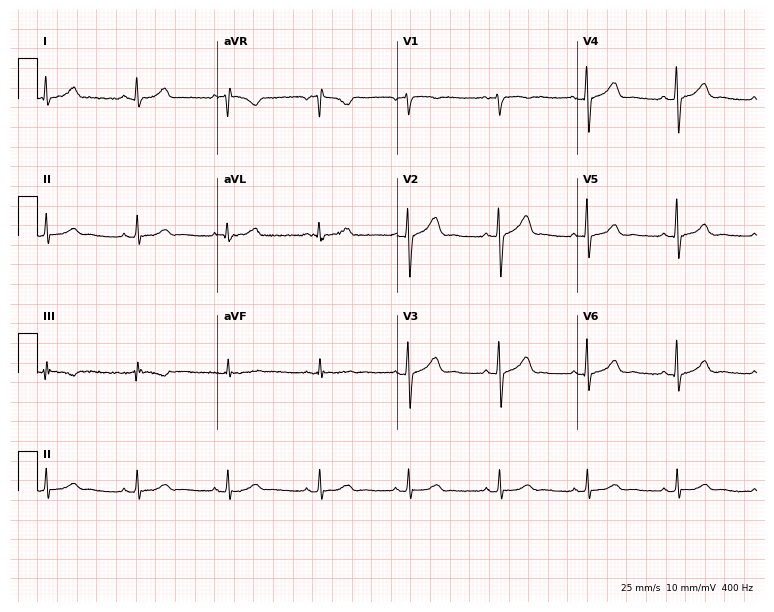
12-lead ECG from a female patient, 35 years old. Recorded interpretation: within normal limits.